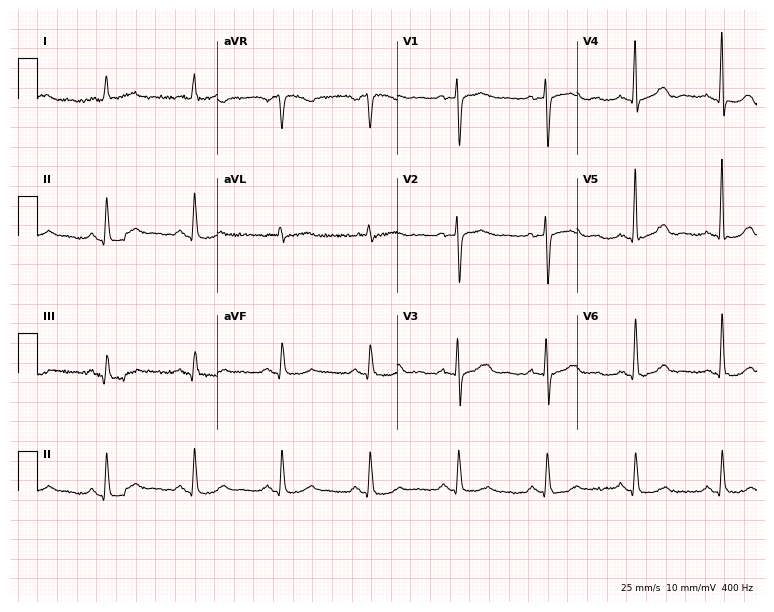
ECG — an 81-year-old woman. Screened for six findings — first-degree AV block, right bundle branch block, left bundle branch block, sinus bradycardia, atrial fibrillation, sinus tachycardia — none is recorded. Findings outside these six are not listed.